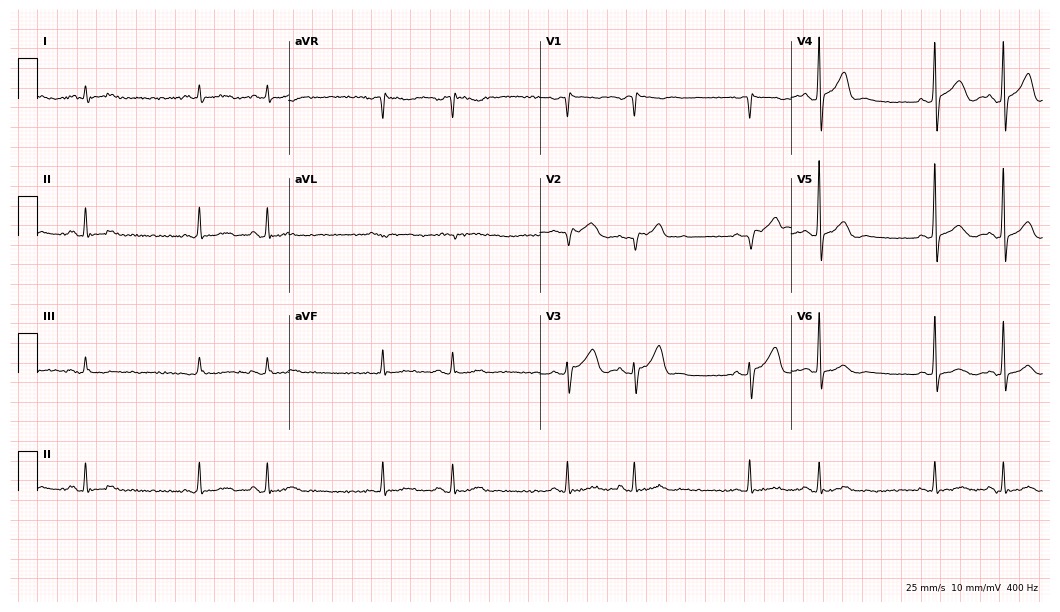
12-lead ECG from a male patient, 78 years old. No first-degree AV block, right bundle branch block (RBBB), left bundle branch block (LBBB), sinus bradycardia, atrial fibrillation (AF) or sinus tachycardia recorded for this tracing.